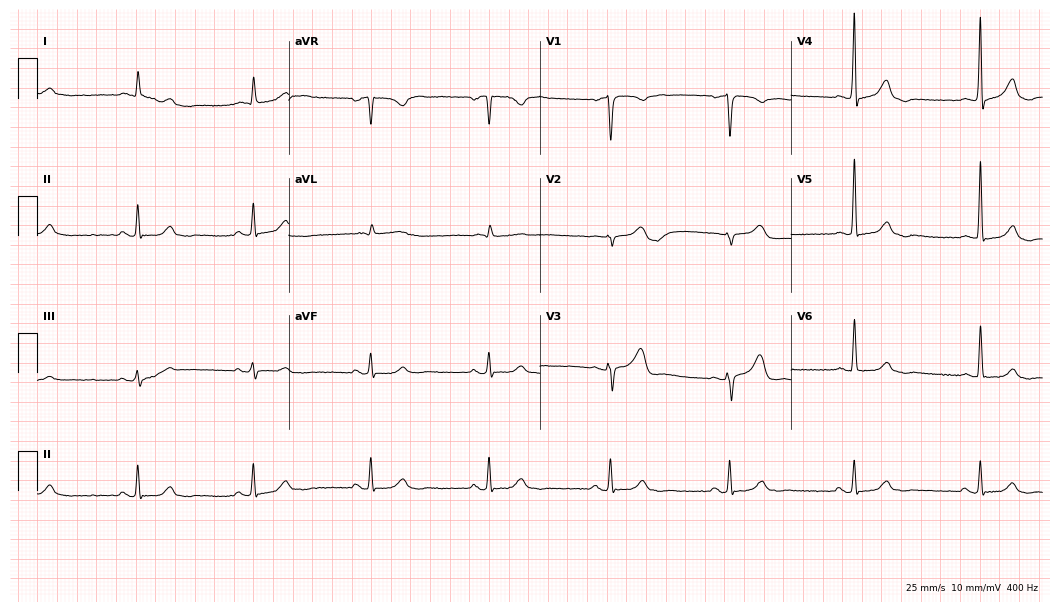
ECG — a 63-year-old man. Labelled as a normal ECG.